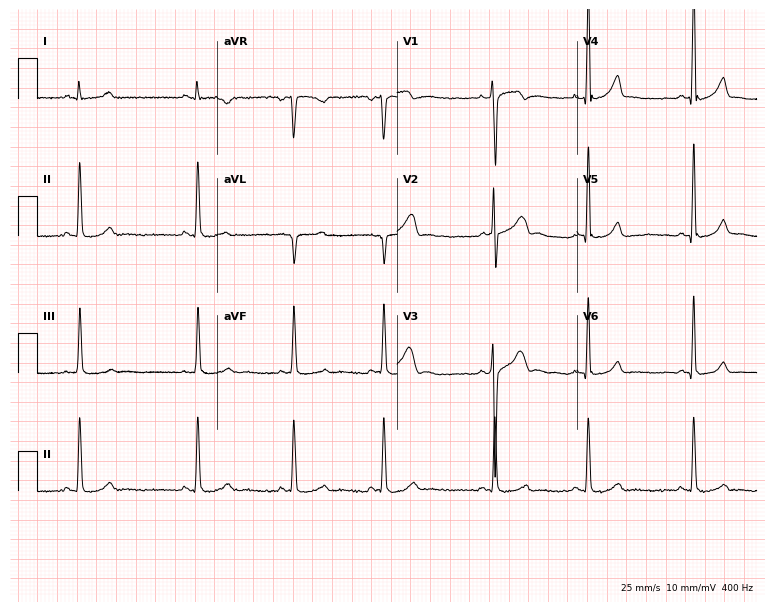
12-lead ECG from a man, 17 years old. Labelled as a normal ECG.